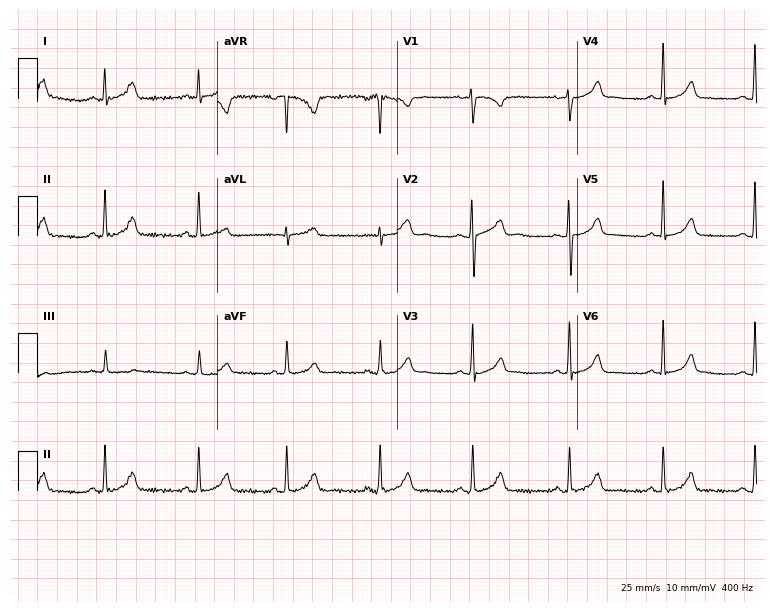
Electrocardiogram, a 27-year-old female patient. Overall reading on record: normal ECG.